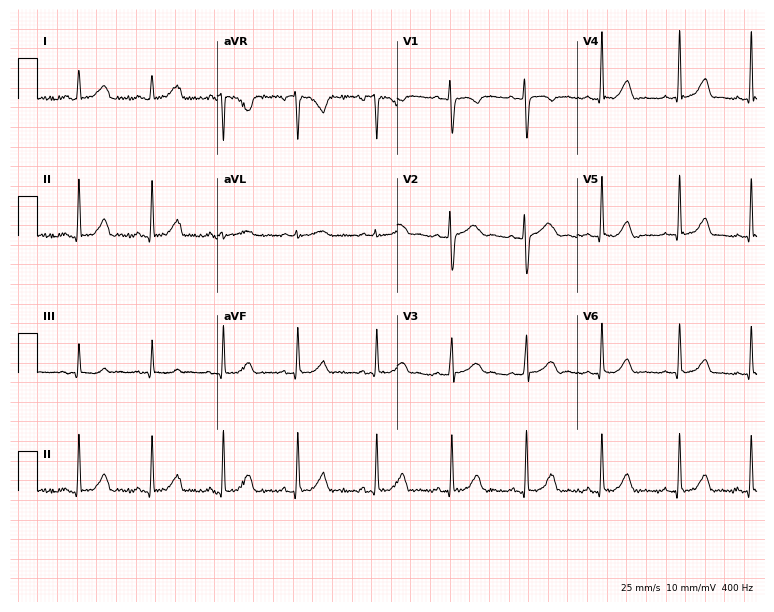
Electrocardiogram (7.3-second recording at 400 Hz), a 19-year-old female. Of the six screened findings (first-degree AV block, right bundle branch block, left bundle branch block, sinus bradycardia, atrial fibrillation, sinus tachycardia), none is recorded. Only these six findings were labelled.